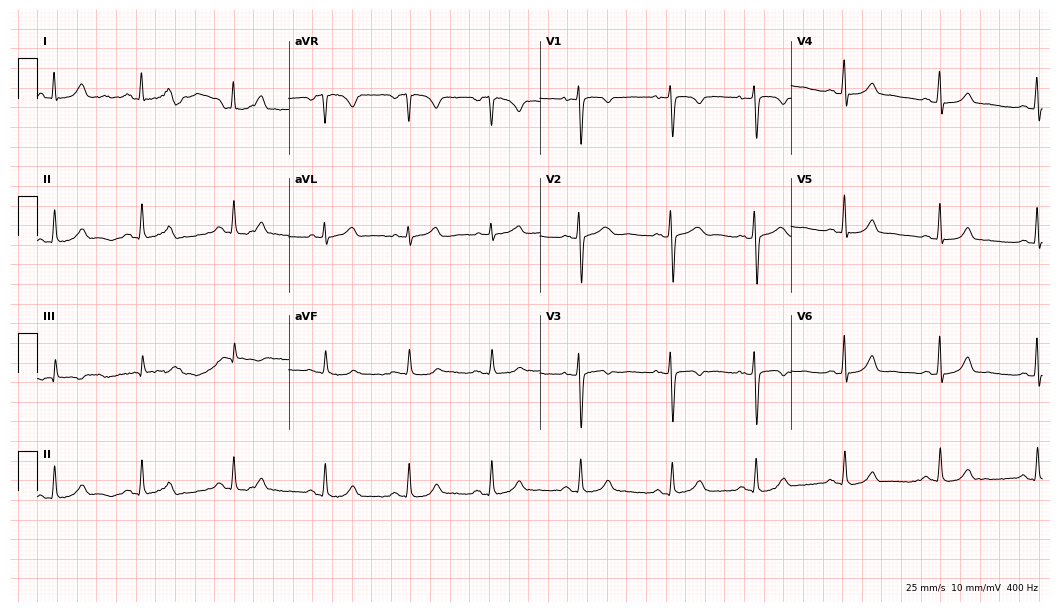
Standard 12-lead ECG recorded from a woman, 27 years old. None of these six findings is recorded: first-degree AV block, right bundle branch block, left bundle branch block, sinus bradycardia, atrial fibrillation, sinus tachycardia. Findings outside these six are not listed.